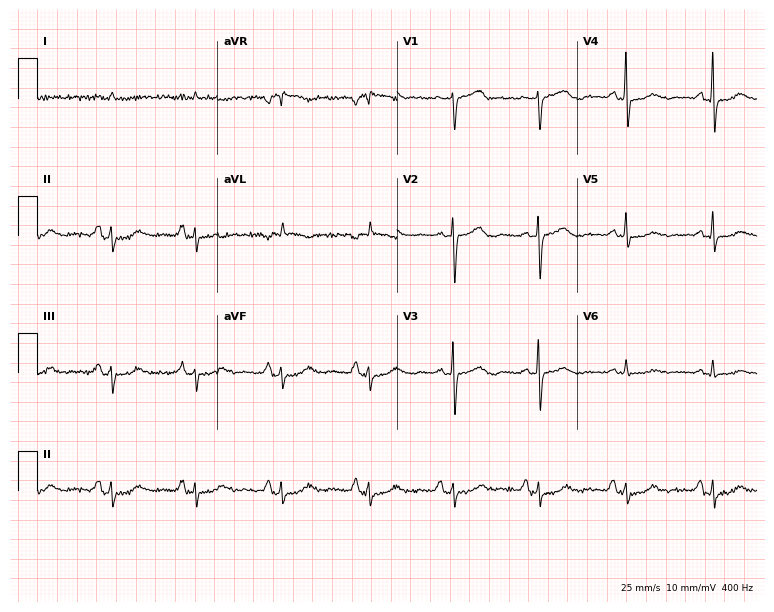
Standard 12-lead ECG recorded from an 82-year-old female patient (7.3-second recording at 400 Hz). None of these six findings is recorded: first-degree AV block, right bundle branch block, left bundle branch block, sinus bradycardia, atrial fibrillation, sinus tachycardia. Other findings, if any, are not listed.